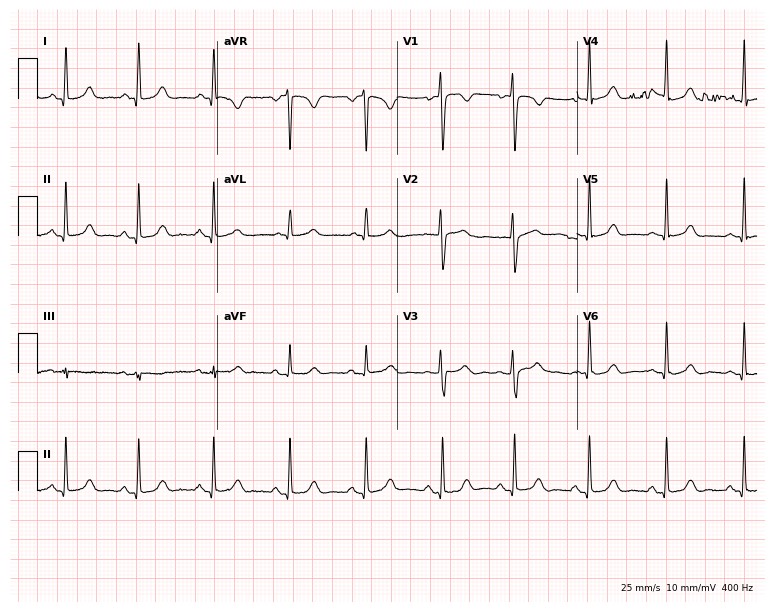
Electrocardiogram, a woman, 28 years old. Overall reading on record: normal ECG.